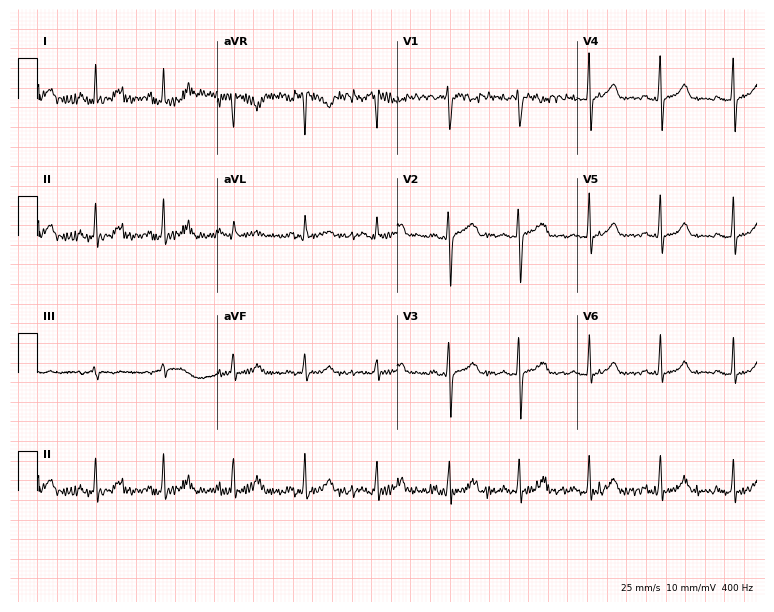
12-lead ECG from a 35-year-old female (7.3-second recording at 400 Hz). Recorded interpretation: within normal limits.